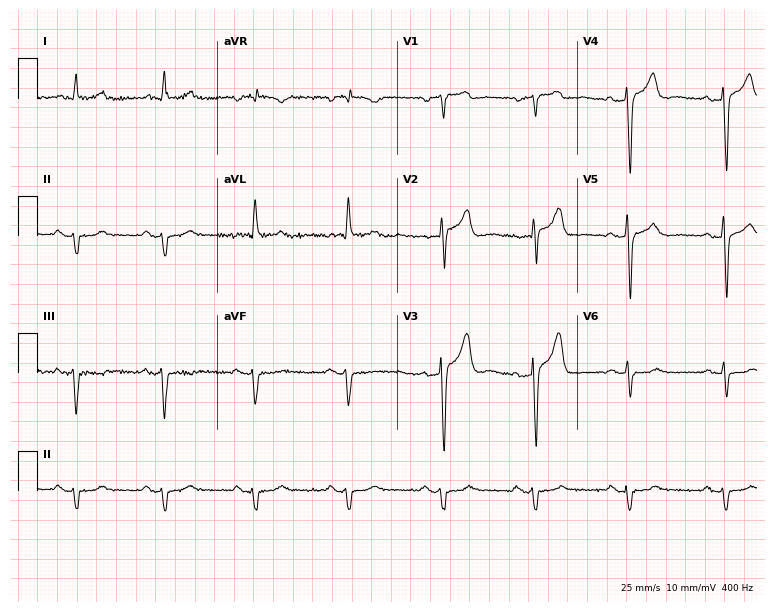
Resting 12-lead electrocardiogram. Patient: a male, 70 years old. None of these six findings is recorded: first-degree AV block, right bundle branch block, left bundle branch block, sinus bradycardia, atrial fibrillation, sinus tachycardia. Findings outside these six are not listed.